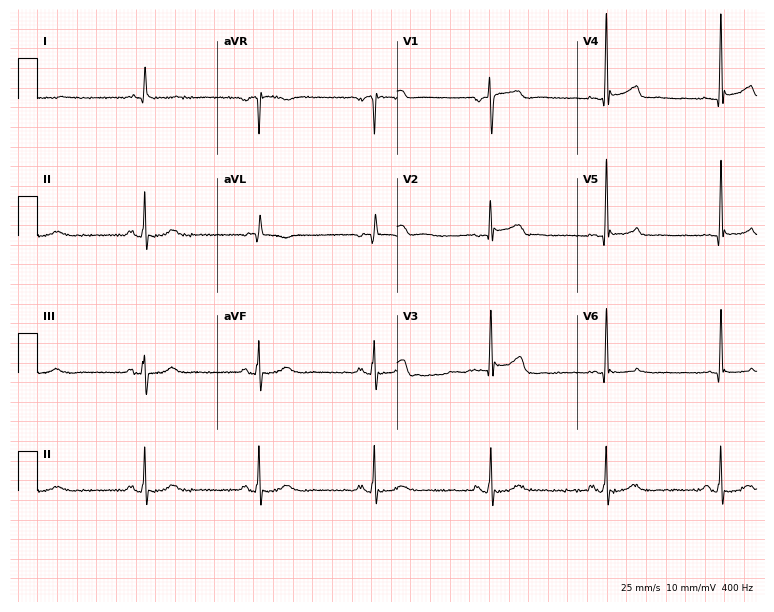
Resting 12-lead electrocardiogram. Patient: a male, 80 years old. None of these six findings is recorded: first-degree AV block, right bundle branch block, left bundle branch block, sinus bradycardia, atrial fibrillation, sinus tachycardia. Other findings, if any, are not listed.